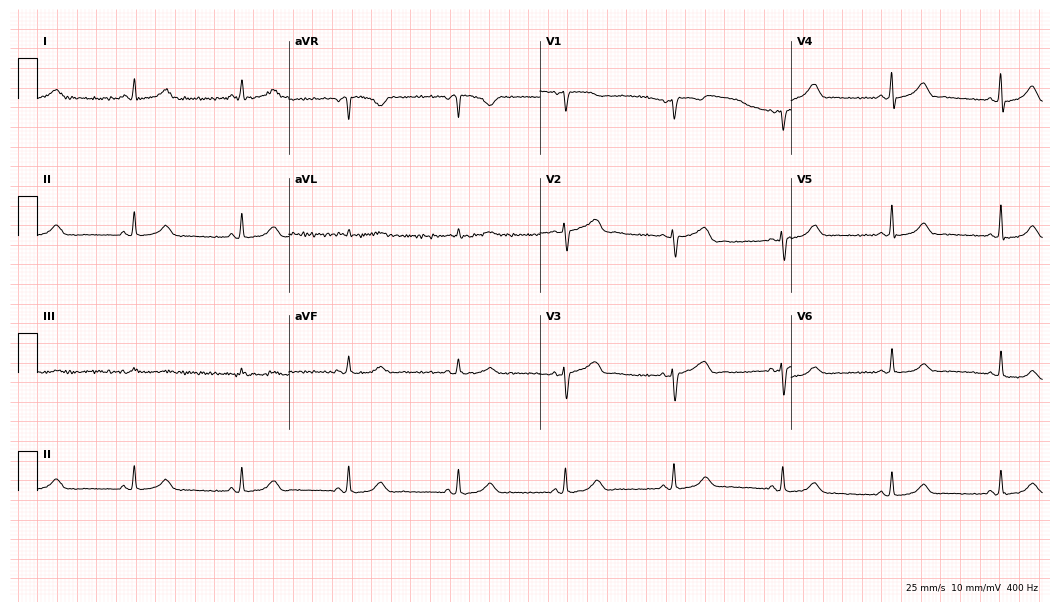
Electrocardiogram (10.2-second recording at 400 Hz), a female, 58 years old. Overall reading on record: normal ECG.